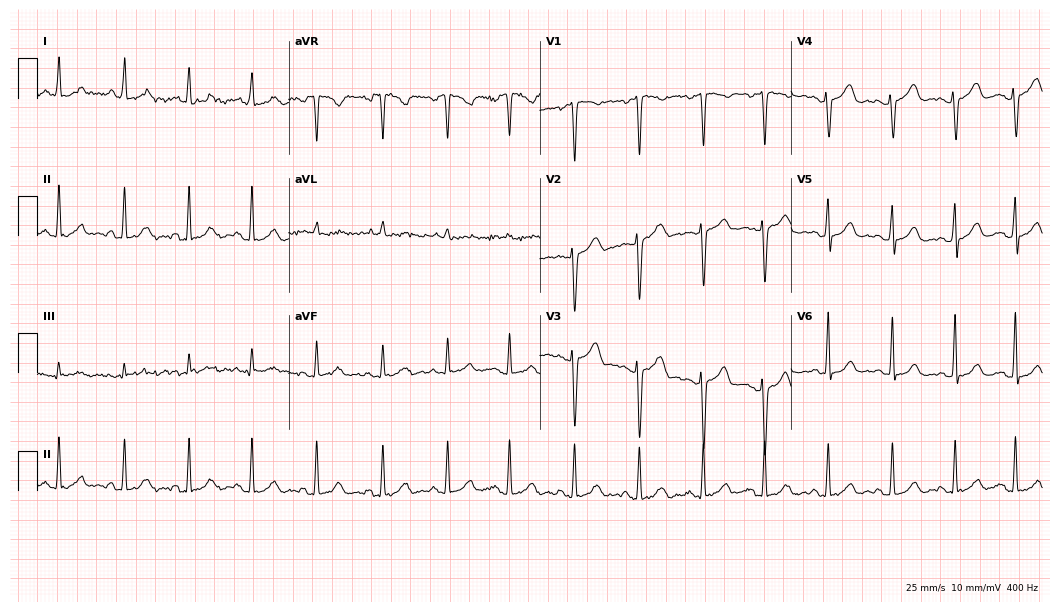
Electrocardiogram, a woman, 37 years old. Overall reading on record: normal ECG.